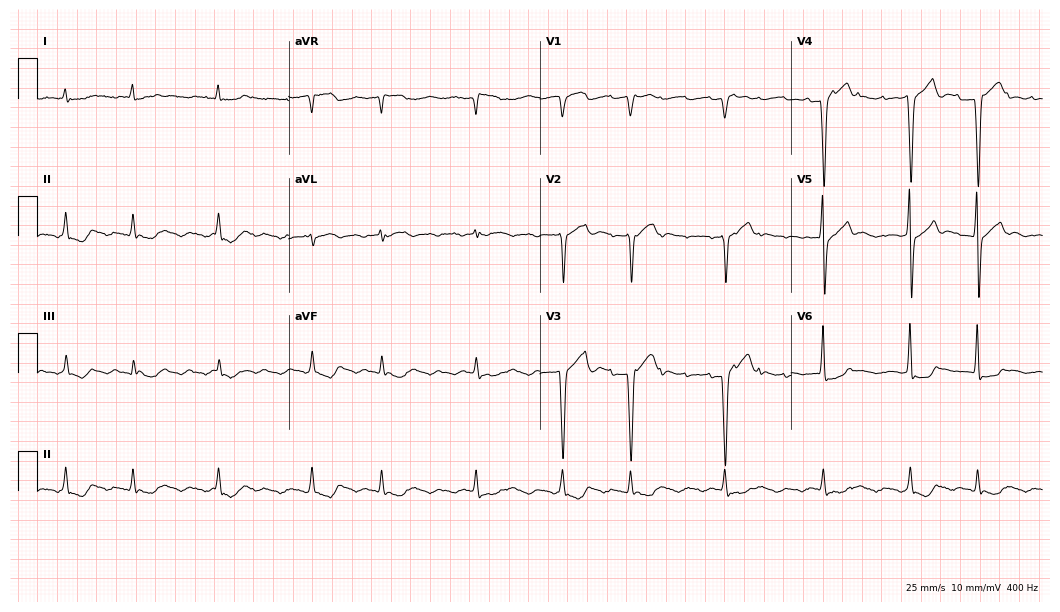
12-lead ECG from a female patient, 84 years old. No first-degree AV block, right bundle branch block, left bundle branch block, sinus bradycardia, atrial fibrillation or sinus tachycardia recorded for this tracing. Other findings, if any, are not listed.